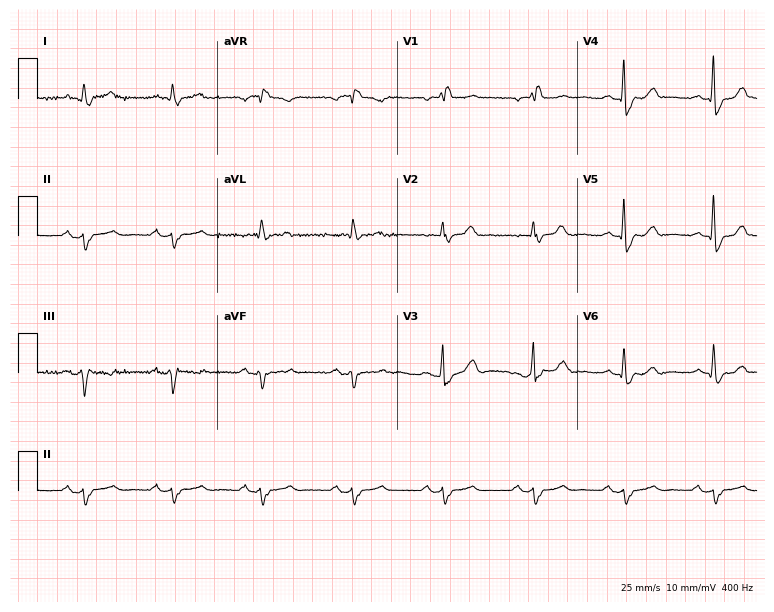
12-lead ECG from a man, 73 years old. Findings include right bundle branch block.